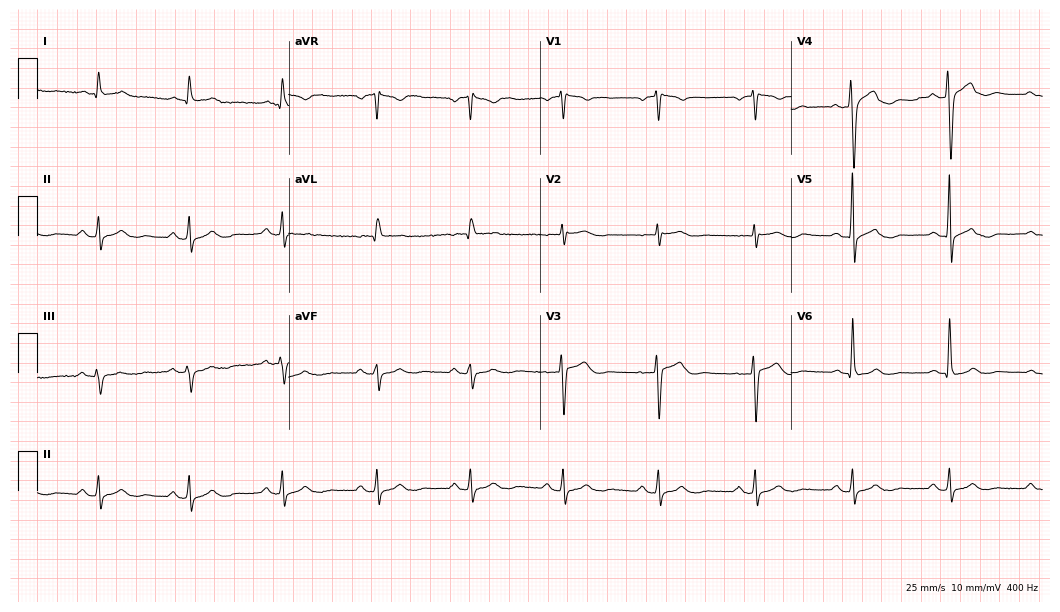
Electrocardiogram, a 64-year-old male patient. Overall reading on record: normal ECG.